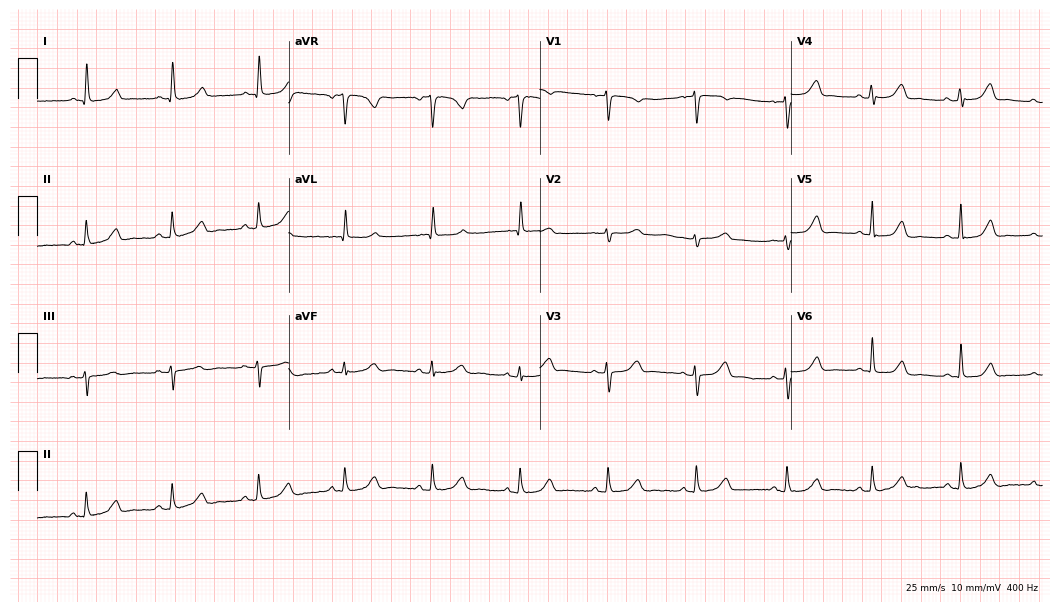
Resting 12-lead electrocardiogram. Patient: a female, 56 years old. None of these six findings is recorded: first-degree AV block, right bundle branch block (RBBB), left bundle branch block (LBBB), sinus bradycardia, atrial fibrillation (AF), sinus tachycardia. Only these six findings were labelled.